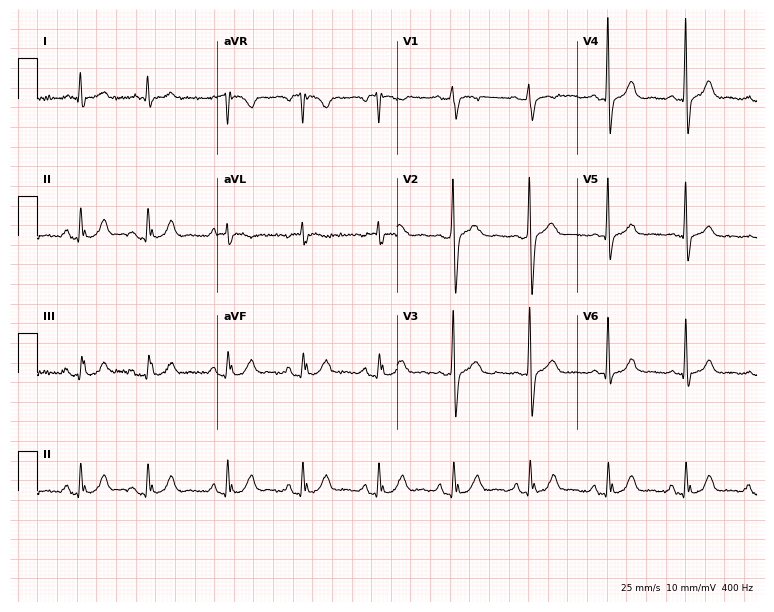
Electrocardiogram (7.3-second recording at 400 Hz), a 65-year-old male. Of the six screened findings (first-degree AV block, right bundle branch block, left bundle branch block, sinus bradycardia, atrial fibrillation, sinus tachycardia), none is recorded.